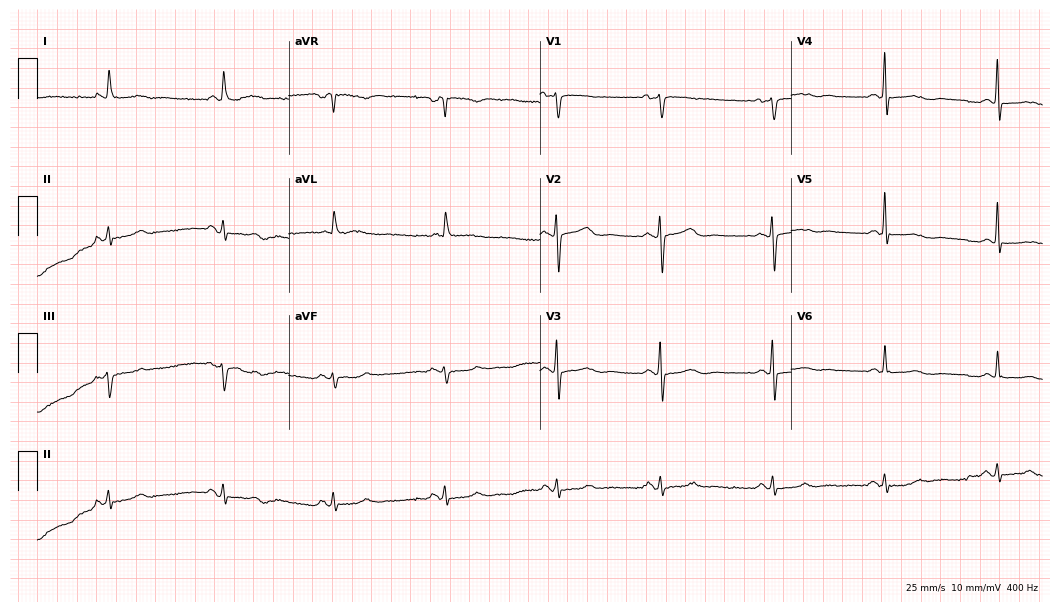
Electrocardiogram (10.2-second recording at 400 Hz), a woman, 79 years old. Of the six screened findings (first-degree AV block, right bundle branch block, left bundle branch block, sinus bradycardia, atrial fibrillation, sinus tachycardia), none is recorded. Findings outside these six are not listed.